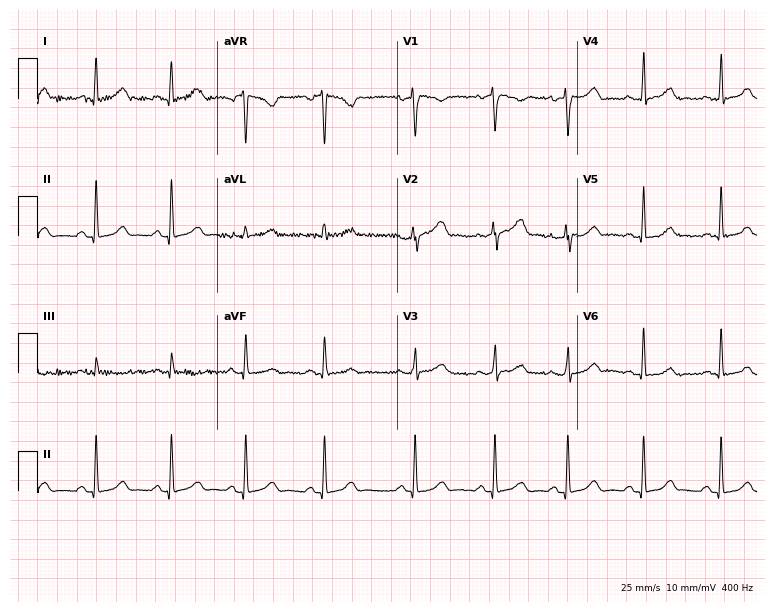
Resting 12-lead electrocardiogram. Patient: a 29-year-old female. Read as a normal ECG.